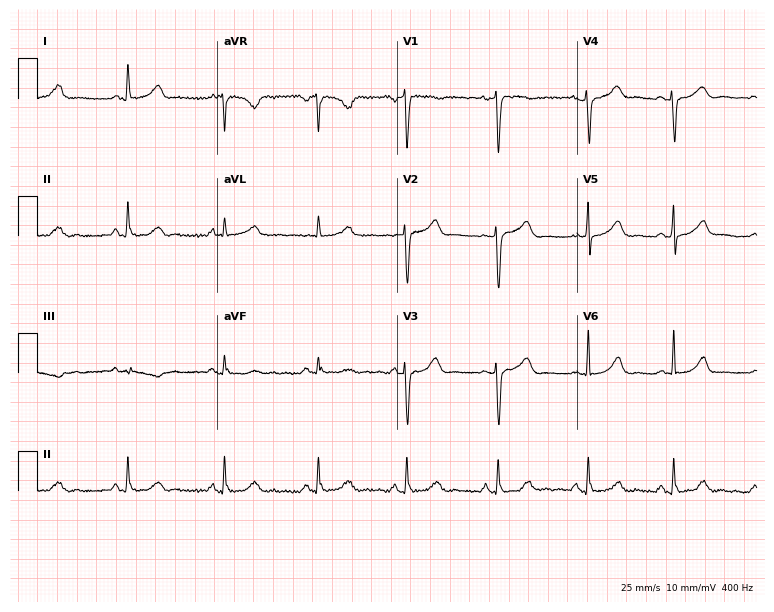
12-lead ECG from a 45-year-old female. Recorded interpretation: within normal limits.